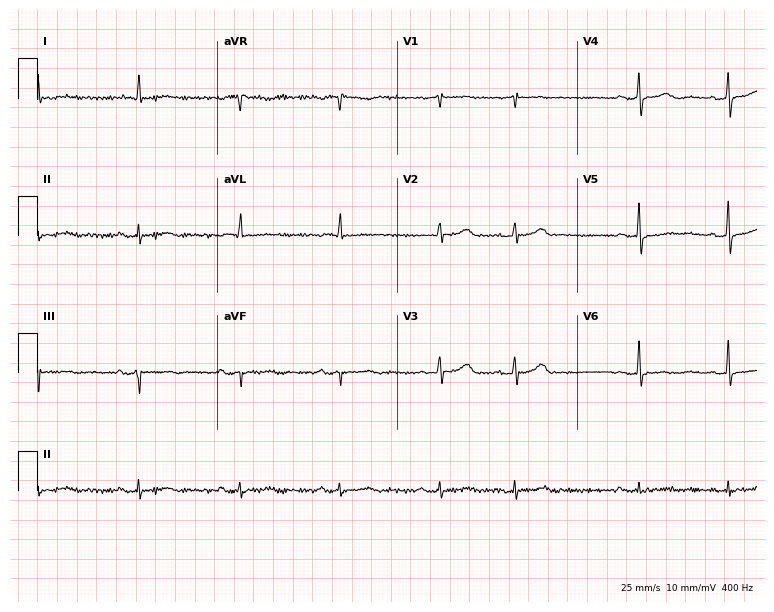
12-lead ECG from an 83-year-old male patient. Recorded interpretation: within normal limits.